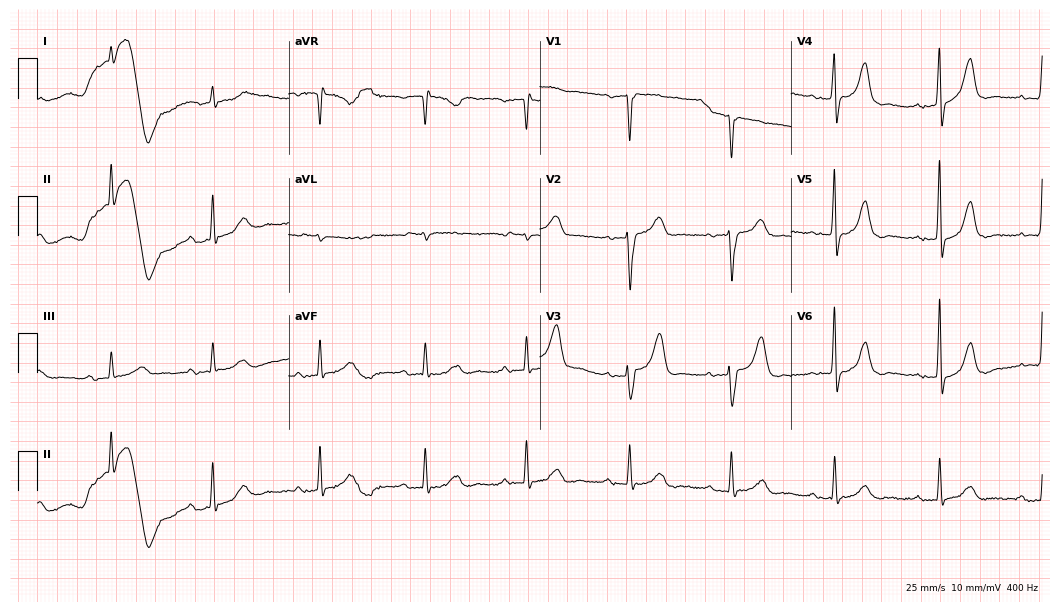
Electrocardiogram, a male, 84 years old. Of the six screened findings (first-degree AV block, right bundle branch block (RBBB), left bundle branch block (LBBB), sinus bradycardia, atrial fibrillation (AF), sinus tachycardia), none is recorded.